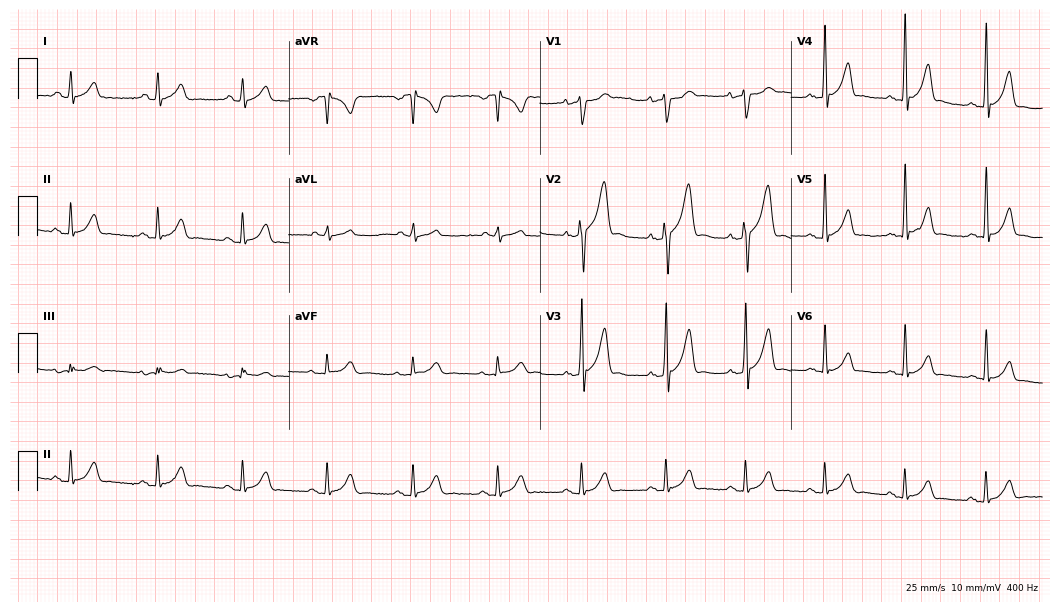
Standard 12-lead ECG recorded from a 23-year-old male patient. None of these six findings is recorded: first-degree AV block, right bundle branch block, left bundle branch block, sinus bradycardia, atrial fibrillation, sinus tachycardia. Only these six findings were labelled.